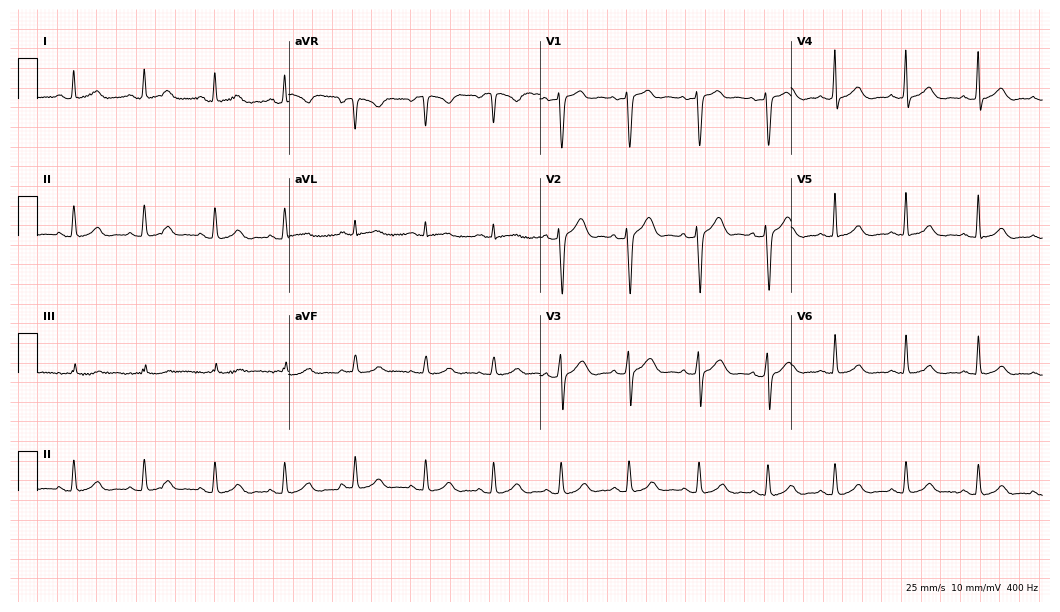
ECG (10.2-second recording at 400 Hz) — a 35-year-old female patient. Labelled as a normal ECG.